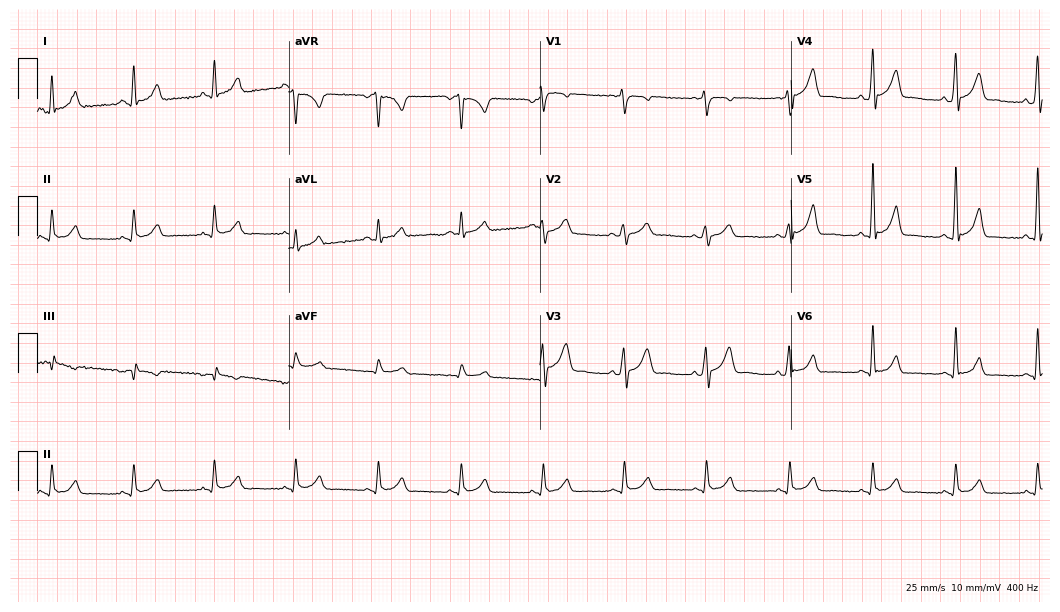
ECG (10.2-second recording at 400 Hz) — a man, 63 years old. Screened for six findings — first-degree AV block, right bundle branch block (RBBB), left bundle branch block (LBBB), sinus bradycardia, atrial fibrillation (AF), sinus tachycardia — none is recorded. Findings outside these six are not listed.